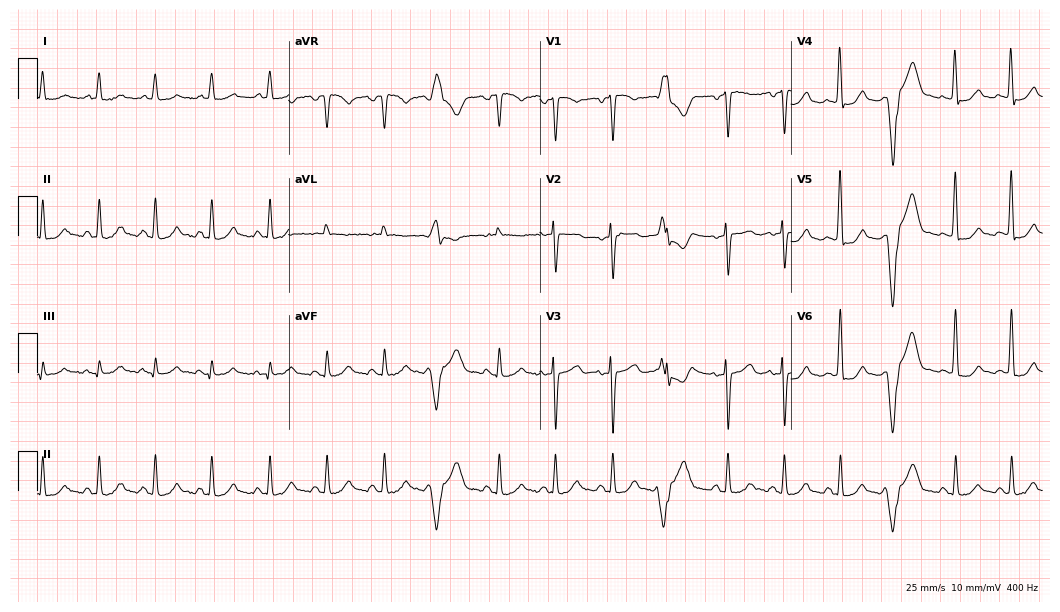
12-lead ECG from a female, 56 years old. Findings include sinus tachycardia (a sinus rate of 100 beats per minute or more).